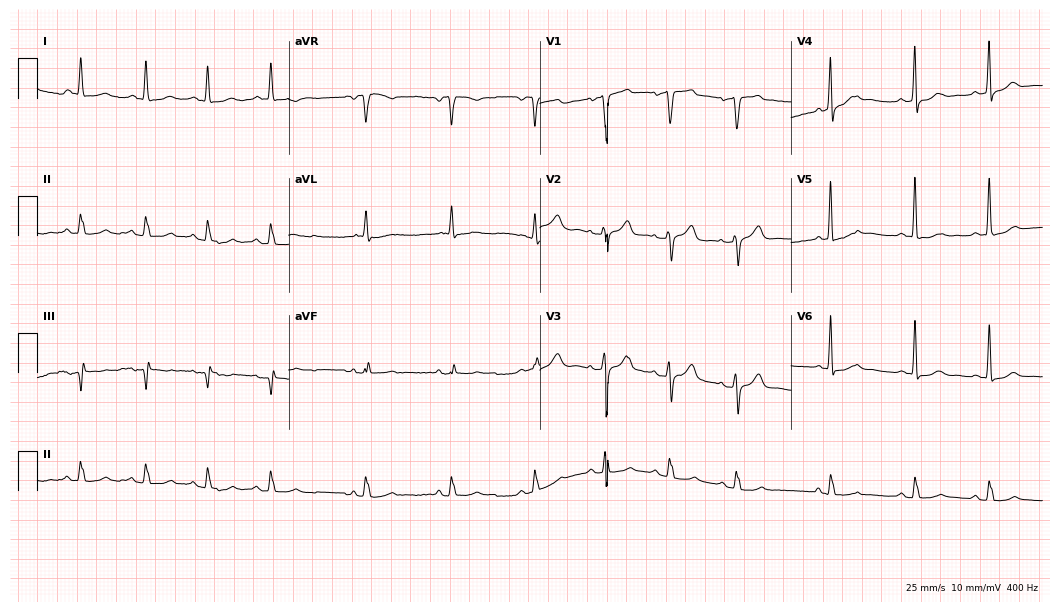
Resting 12-lead electrocardiogram. Patient: a 79-year-old male. None of these six findings is recorded: first-degree AV block, right bundle branch block, left bundle branch block, sinus bradycardia, atrial fibrillation, sinus tachycardia.